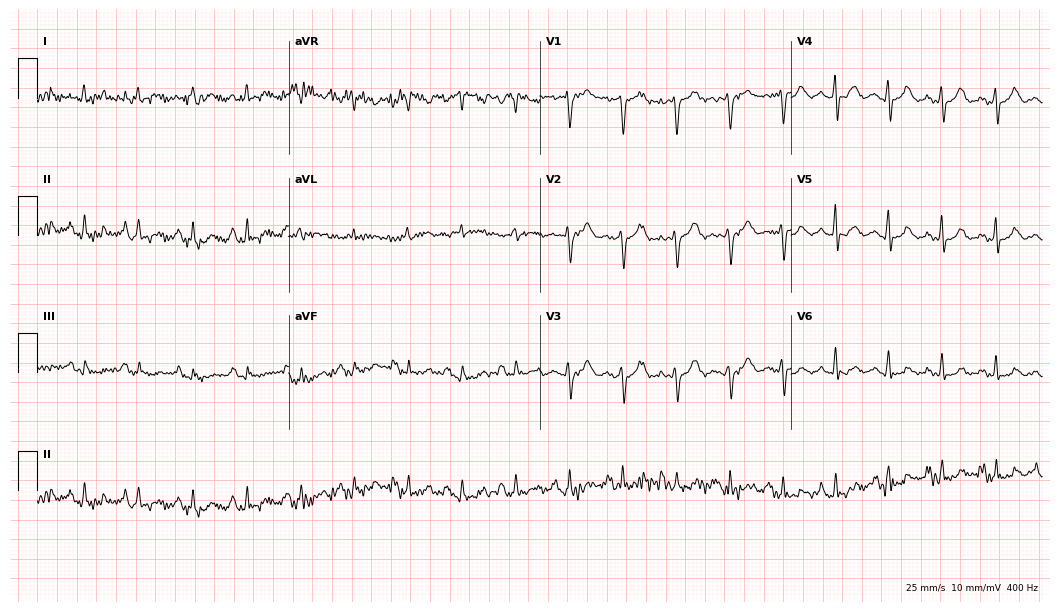
Resting 12-lead electrocardiogram. Patient: a 65-year-old woman. The tracing shows sinus tachycardia (a sinus rate of 100 beats per minute or more).